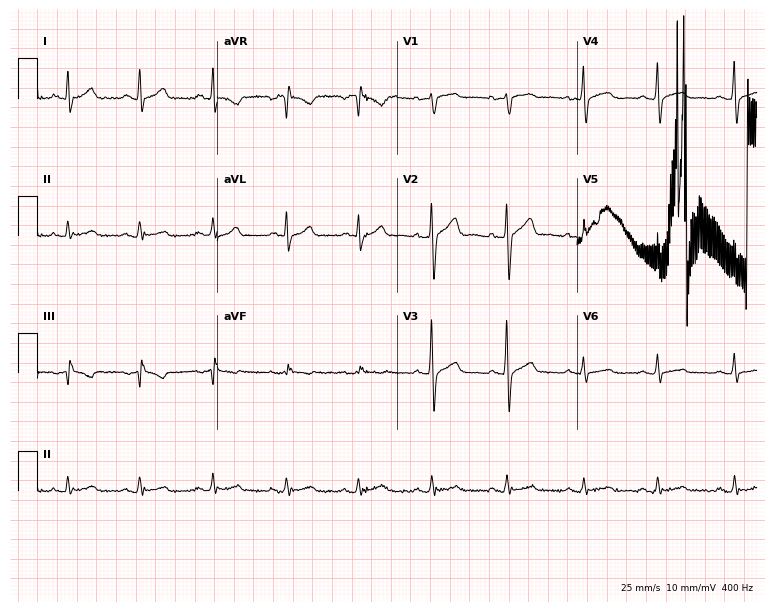
Electrocardiogram, a man, 40 years old. Of the six screened findings (first-degree AV block, right bundle branch block, left bundle branch block, sinus bradycardia, atrial fibrillation, sinus tachycardia), none is recorded.